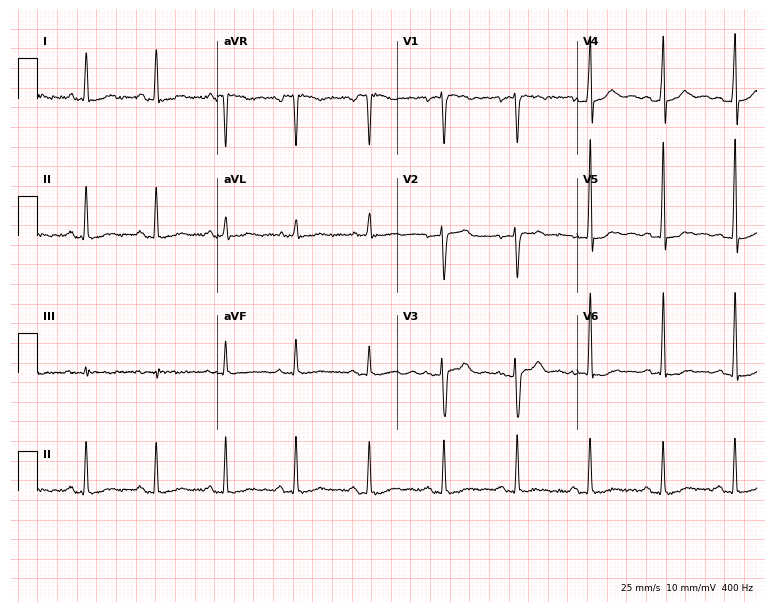
Standard 12-lead ECG recorded from a 39-year-old female (7.3-second recording at 400 Hz). None of these six findings is recorded: first-degree AV block, right bundle branch block, left bundle branch block, sinus bradycardia, atrial fibrillation, sinus tachycardia. Other findings, if any, are not listed.